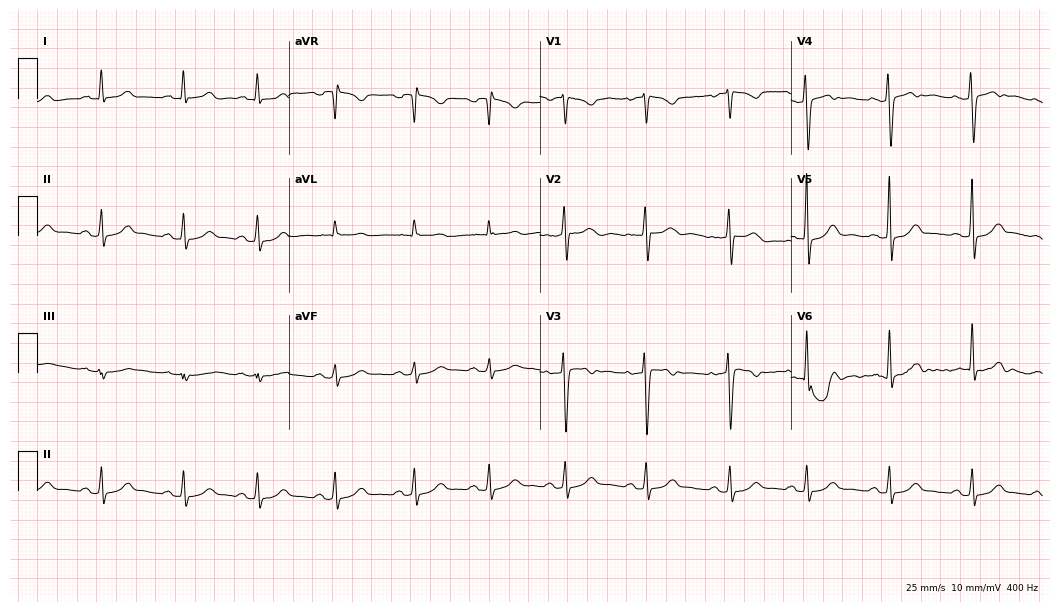
ECG (10.2-second recording at 400 Hz) — a woman, 29 years old. Screened for six findings — first-degree AV block, right bundle branch block, left bundle branch block, sinus bradycardia, atrial fibrillation, sinus tachycardia — none is recorded.